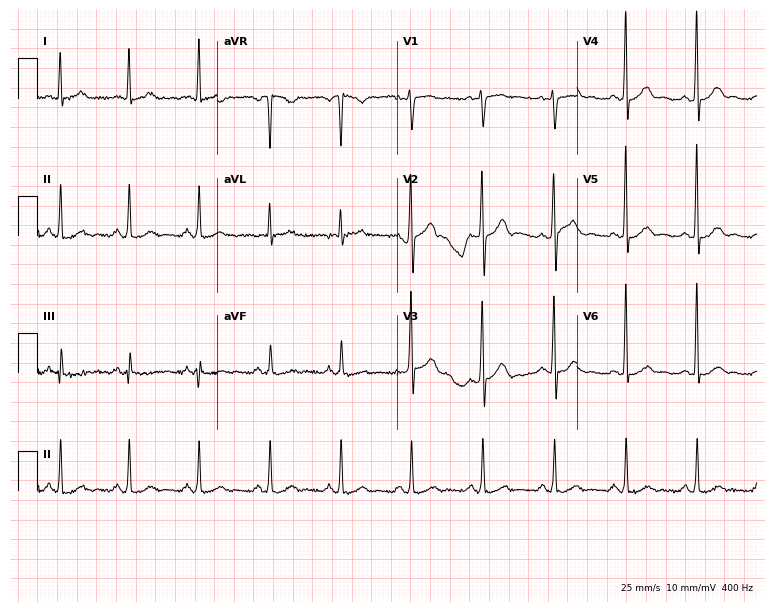
Electrocardiogram, a male, 47 years old. Overall reading on record: normal ECG.